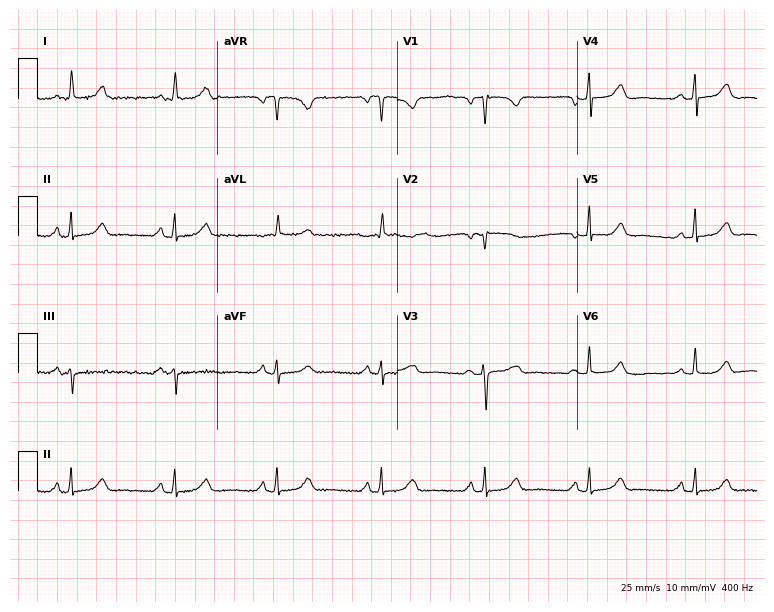
Standard 12-lead ECG recorded from a female patient, 54 years old. Read as a normal ECG.